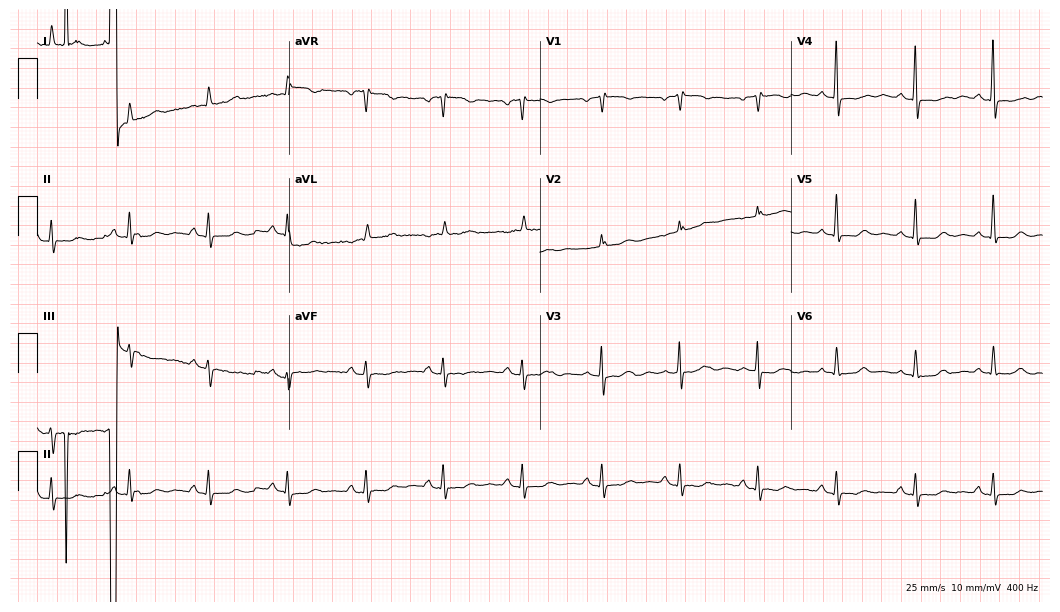
ECG (10.2-second recording at 400 Hz) — a 68-year-old woman. Screened for six findings — first-degree AV block, right bundle branch block, left bundle branch block, sinus bradycardia, atrial fibrillation, sinus tachycardia — none is recorded. Findings outside these six are not listed.